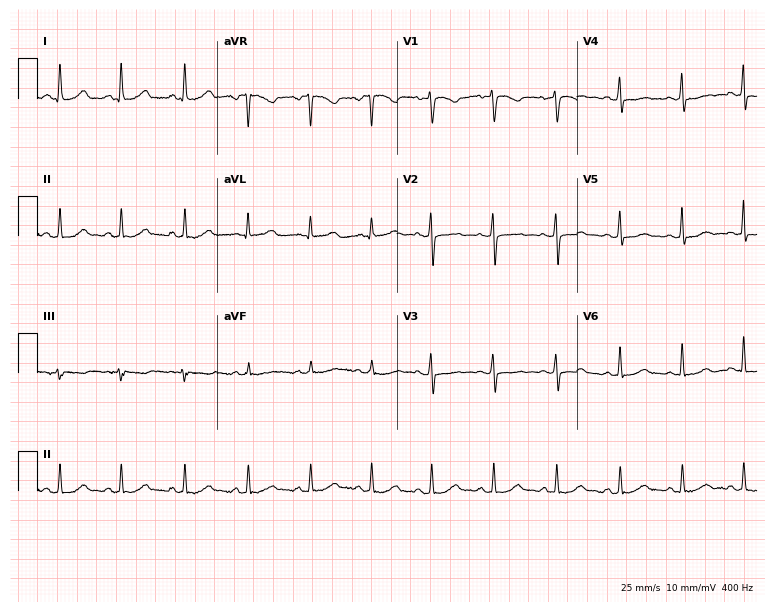
Electrocardiogram, a female, 37 years old. Of the six screened findings (first-degree AV block, right bundle branch block, left bundle branch block, sinus bradycardia, atrial fibrillation, sinus tachycardia), none is recorded. Only these six findings were labelled.